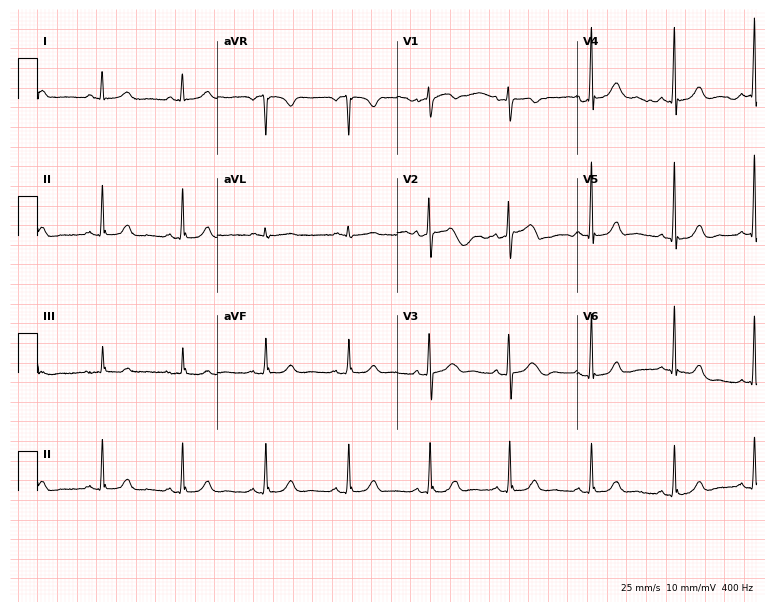
12-lead ECG from a 58-year-old female patient. Recorded interpretation: within normal limits.